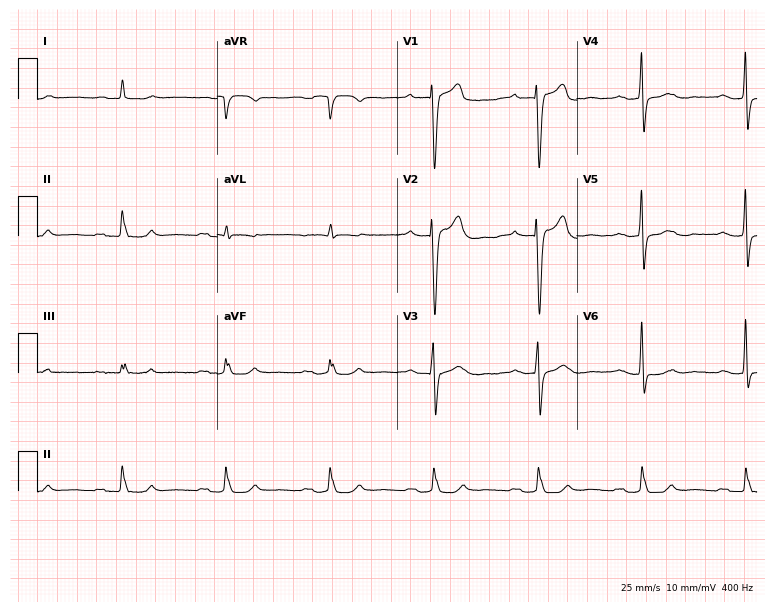
Resting 12-lead electrocardiogram. Patient: a male, 85 years old. The tracing shows first-degree AV block.